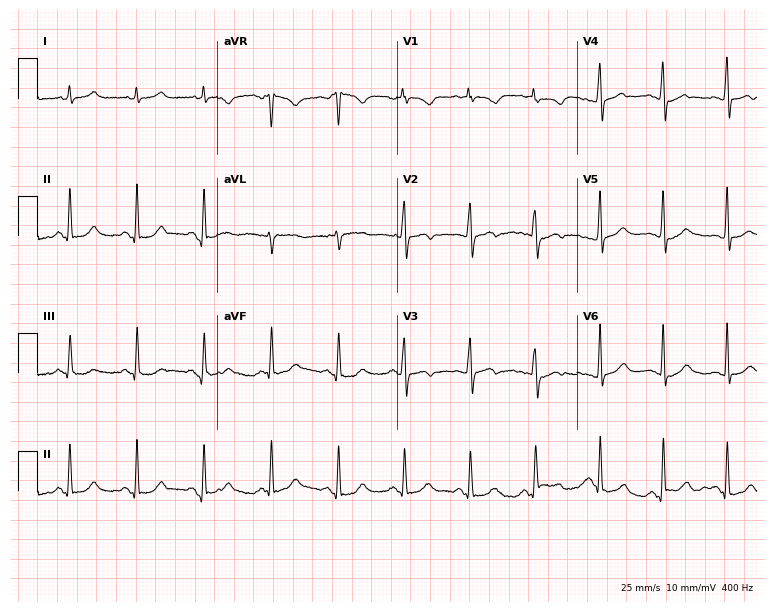
Electrocardiogram, a 35-year-old woman. Of the six screened findings (first-degree AV block, right bundle branch block, left bundle branch block, sinus bradycardia, atrial fibrillation, sinus tachycardia), none is recorded.